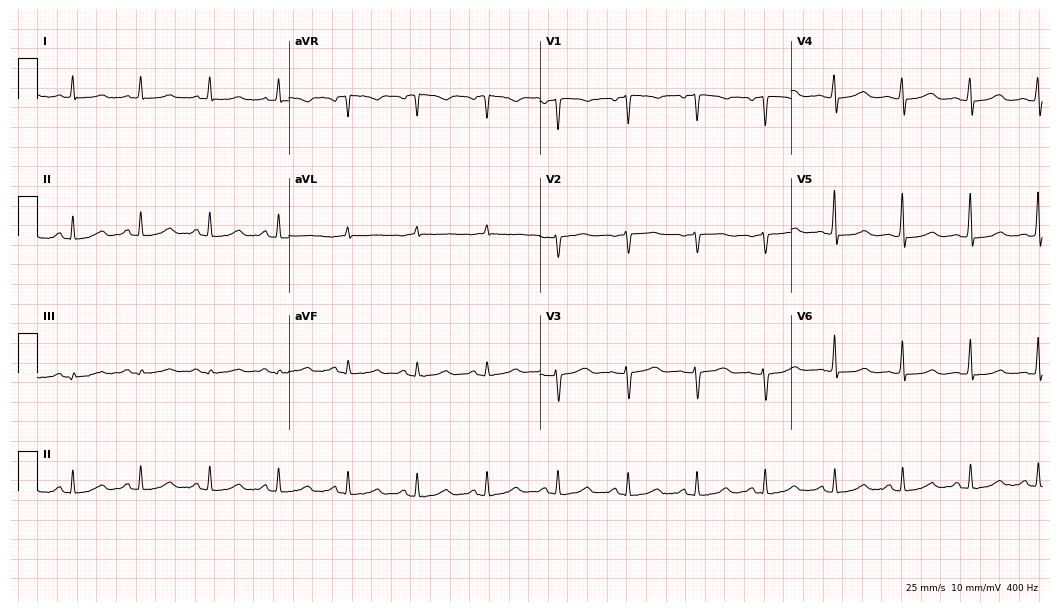
12-lead ECG from a 55-year-old woman. Screened for six findings — first-degree AV block, right bundle branch block (RBBB), left bundle branch block (LBBB), sinus bradycardia, atrial fibrillation (AF), sinus tachycardia — none is recorded. Other findings, if any, are not listed.